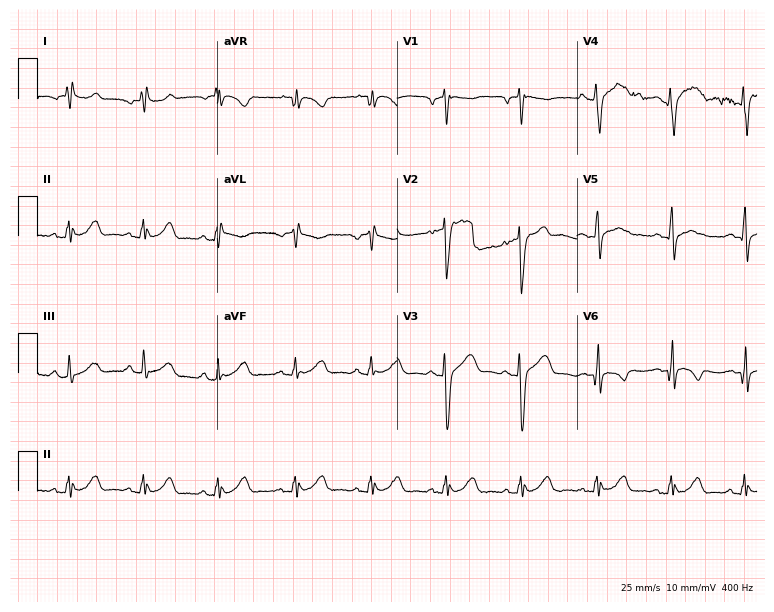
12-lead ECG from a 36-year-old male. No first-degree AV block, right bundle branch block (RBBB), left bundle branch block (LBBB), sinus bradycardia, atrial fibrillation (AF) or sinus tachycardia recorded for this tracing.